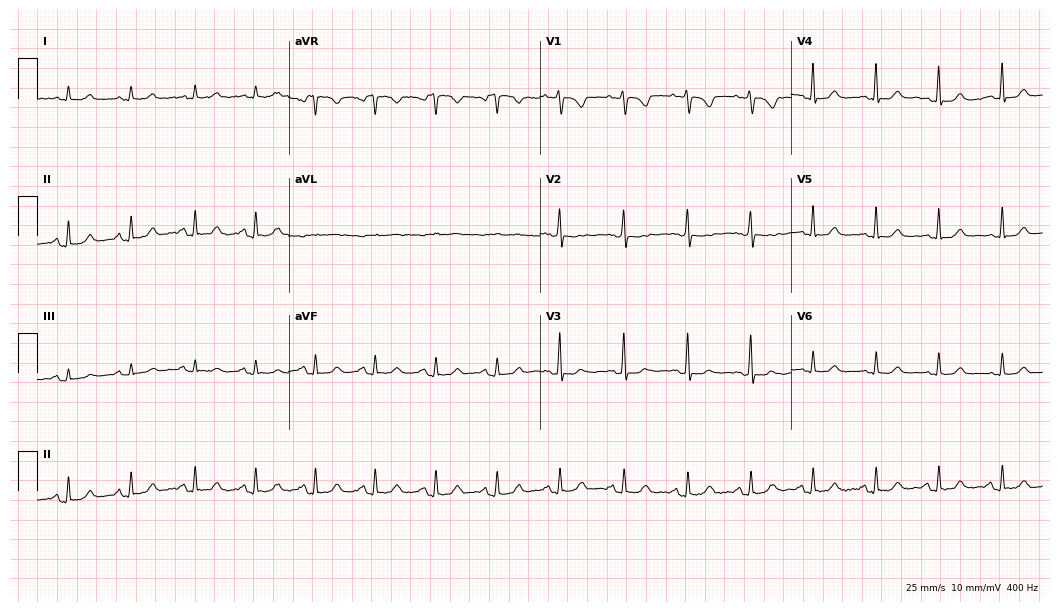
Standard 12-lead ECG recorded from a female patient, 42 years old. Read as a normal ECG.